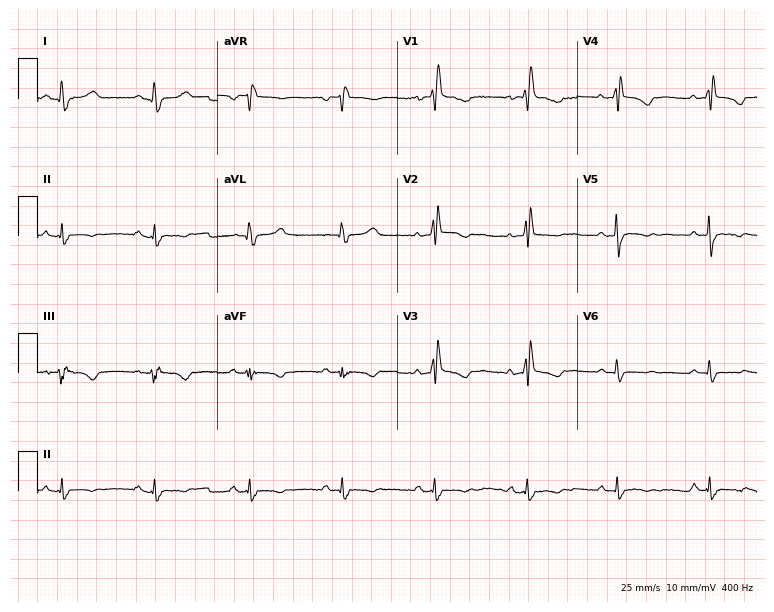
12-lead ECG from a 49-year-old female patient (7.3-second recording at 400 Hz). Shows right bundle branch block.